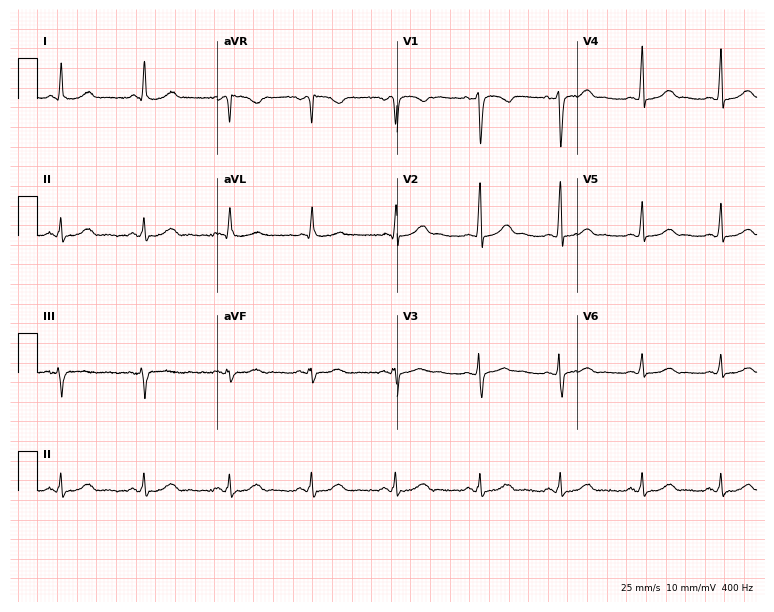
Electrocardiogram, a 43-year-old woman. Overall reading on record: normal ECG.